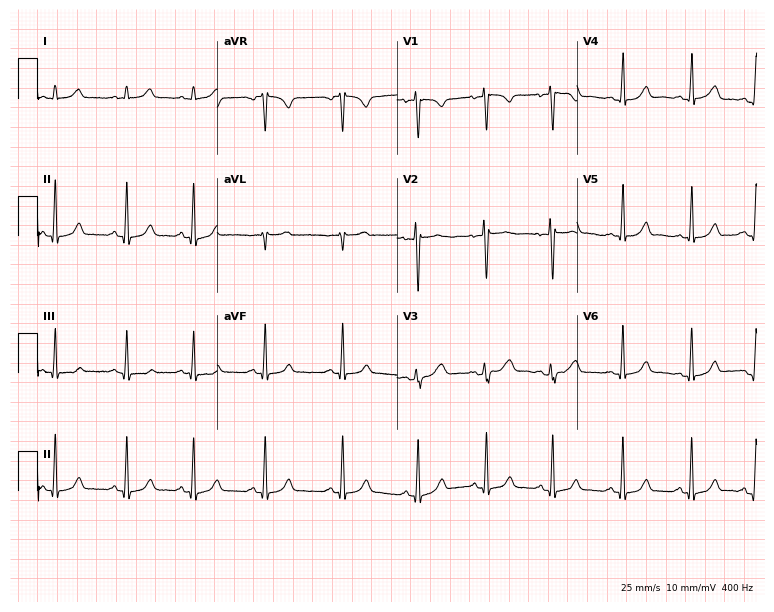
Resting 12-lead electrocardiogram (7.3-second recording at 400 Hz). Patient: a 22-year-old female. None of these six findings is recorded: first-degree AV block, right bundle branch block, left bundle branch block, sinus bradycardia, atrial fibrillation, sinus tachycardia. Findings outside these six are not listed.